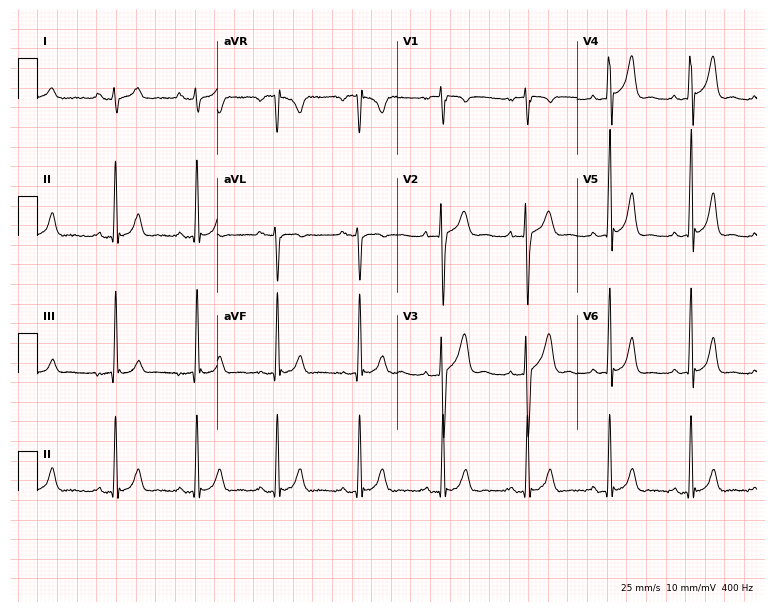
Standard 12-lead ECG recorded from a male, 21 years old. Read as a normal ECG.